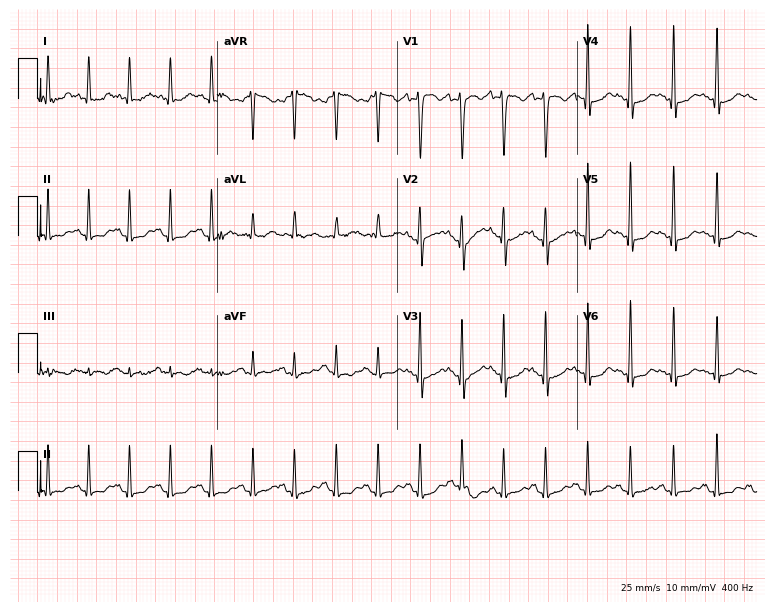
Standard 12-lead ECG recorded from a 37-year-old female (7.3-second recording at 400 Hz). The tracing shows sinus tachycardia (a sinus rate of 100 beats per minute or more).